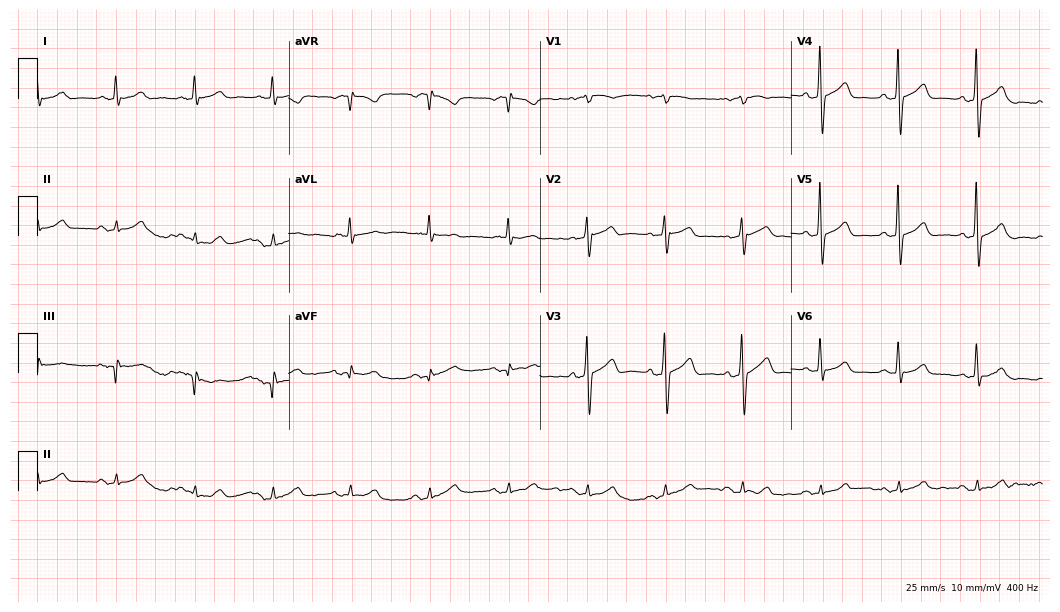
Resting 12-lead electrocardiogram. Patient: a man, 75 years old. Read as a normal ECG.